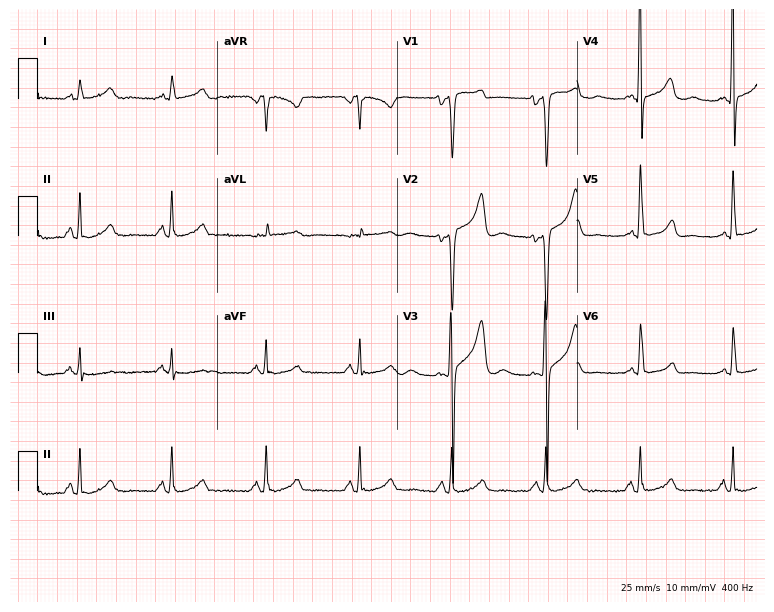
Standard 12-lead ECG recorded from a 47-year-old male (7.3-second recording at 400 Hz). None of these six findings is recorded: first-degree AV block, right bundle branch block, left bundle branch block, sinus bradycardia, atrial fibrillation, sinus tachycardia.